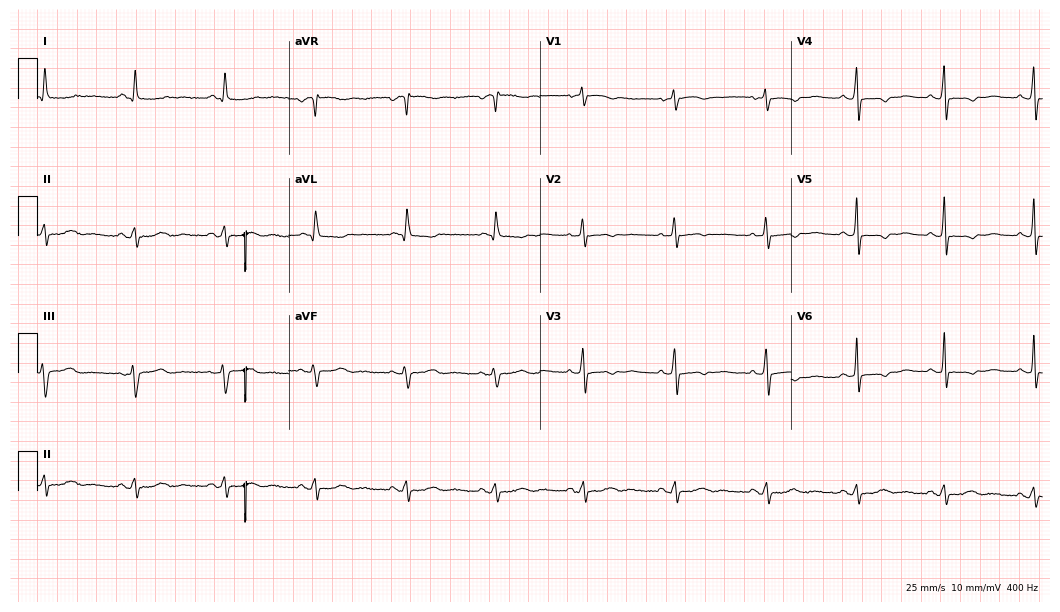
12-lead ECG from a 59-year-old female (10.2-second recording at 400 Hz). No first-degree AV block, right bundle branch block, left bundle branch block, sinus bradycardia, atrial fibrillation or sinus tachycardia recorded for this tracing. Findings outside these six are not listed.